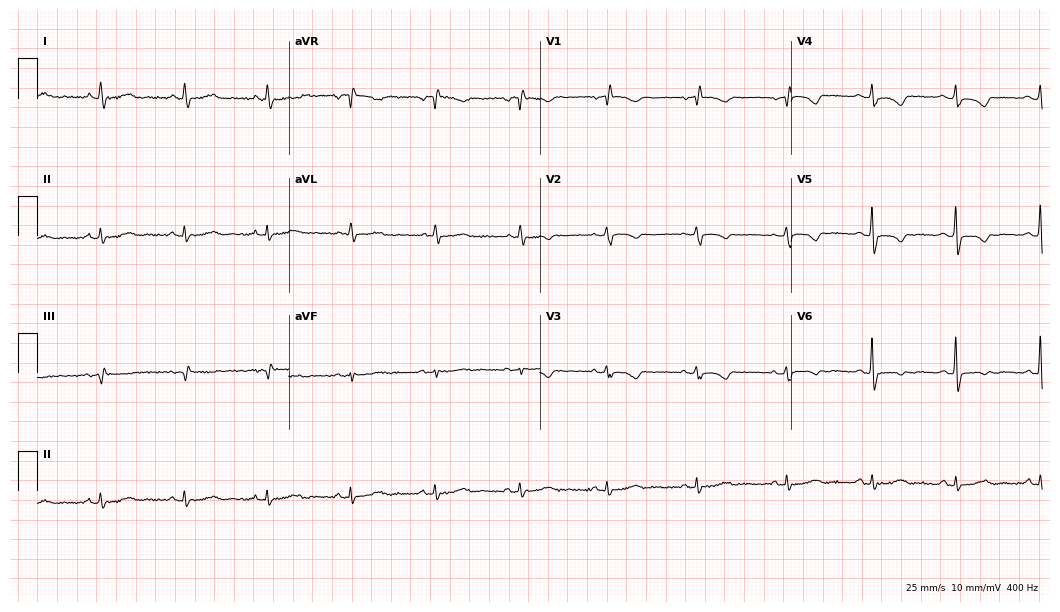
12-lead ECG from a 64-year-old female patient (10.2-second recording at 400 Hz). No first-degree AV block, right bundle branch block, left bundle branch block, sinus bradycardia, atrial fibrillation or sinus tachycardia recorded for this tracing. Findings outside these six are not listed.